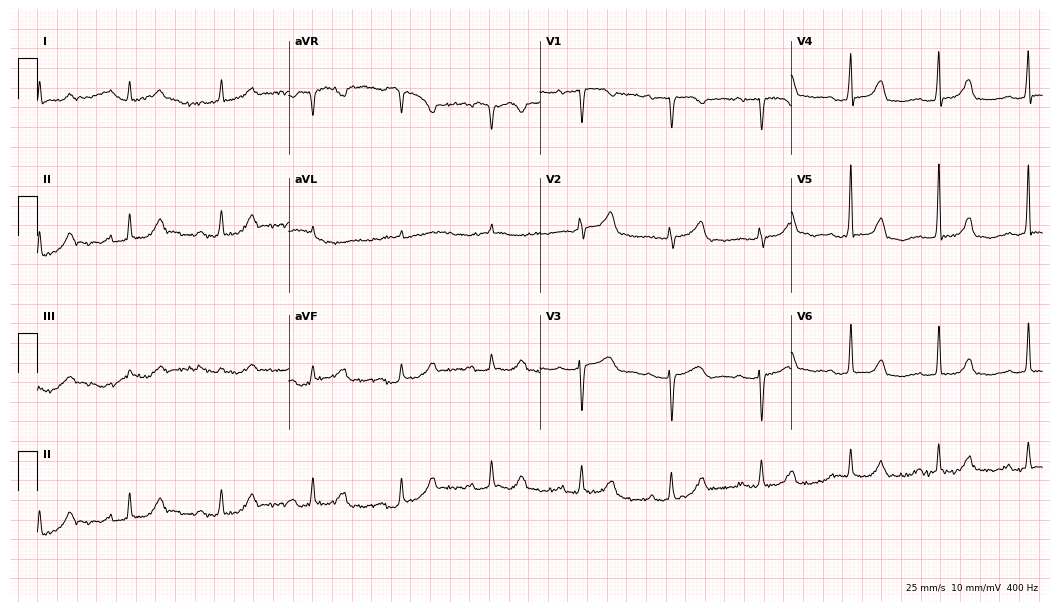
Electrocardiogram (10.2-second recording at 400 Hz), an 84-year-old female patient. Of the six screened findings (first-degree AV block, right bundle branch block (RBBB), left bundle branch block (LBBB), sinus bradycardia, atrial fibrillation (AF), sinus tachycardia), none is recorded. Only these six findings were labelled.